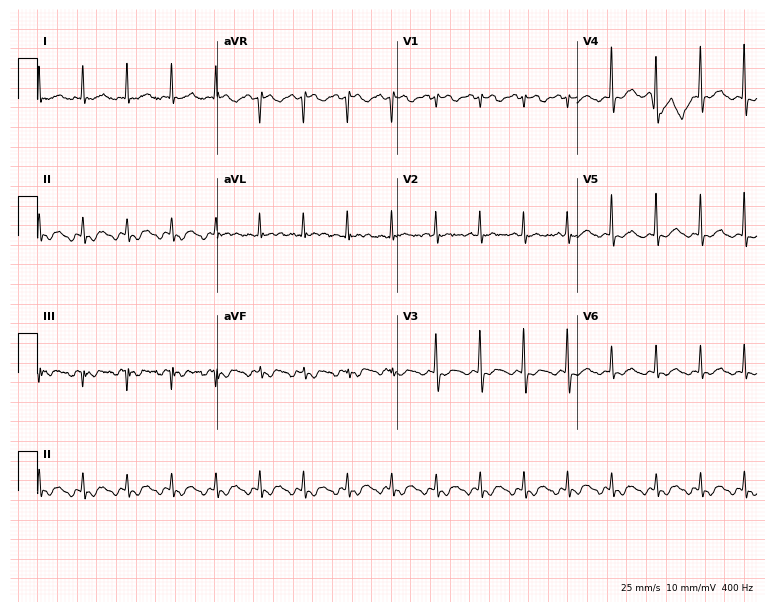
12-lead ECG from an 85-year-old female patient. No first-degree AV block, right bundle branch block (RBBB), left bundle branch block (LBBB), sinus bradycardia, atrial fibrillation (AF) or sinus tachycardia recorded for this tracing. Findings outside these six are not listed.